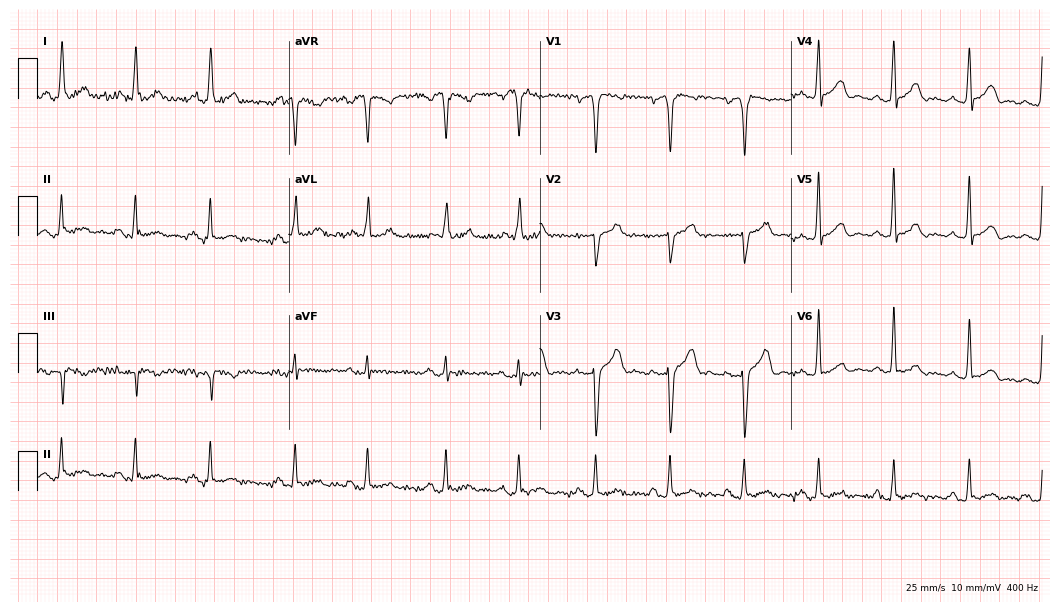
ECG (10.2-second recording at 400 Hz) — a male patient, 58 years old. Labelled as a normal ECG.